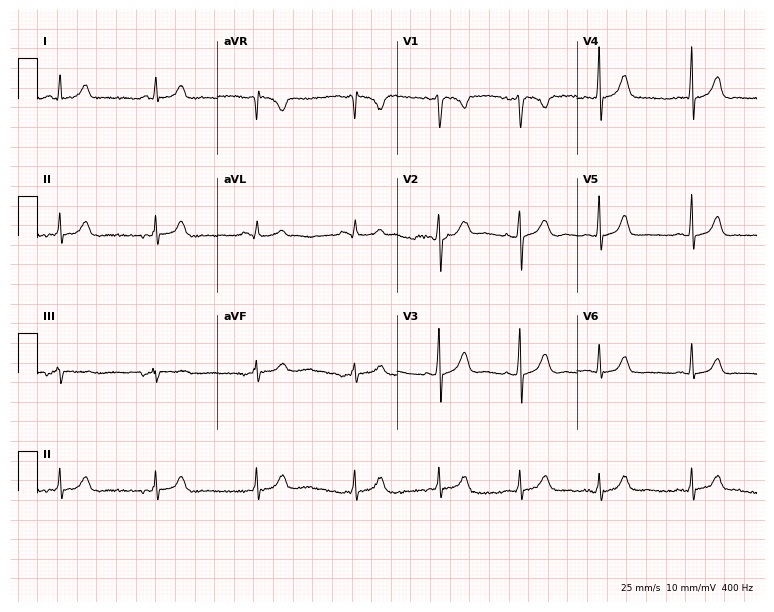
Standard 12-lead ECG recorded from a woman, 18 years old. Read as a normal ECG.